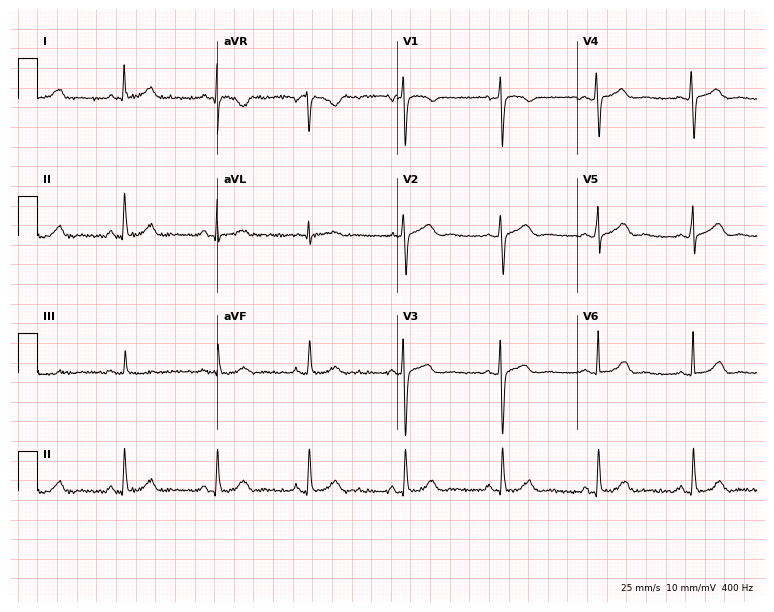
ECG (7.3-second recording at 400 Hz) — a 44-year-old female. Labelled as a normal ECG.